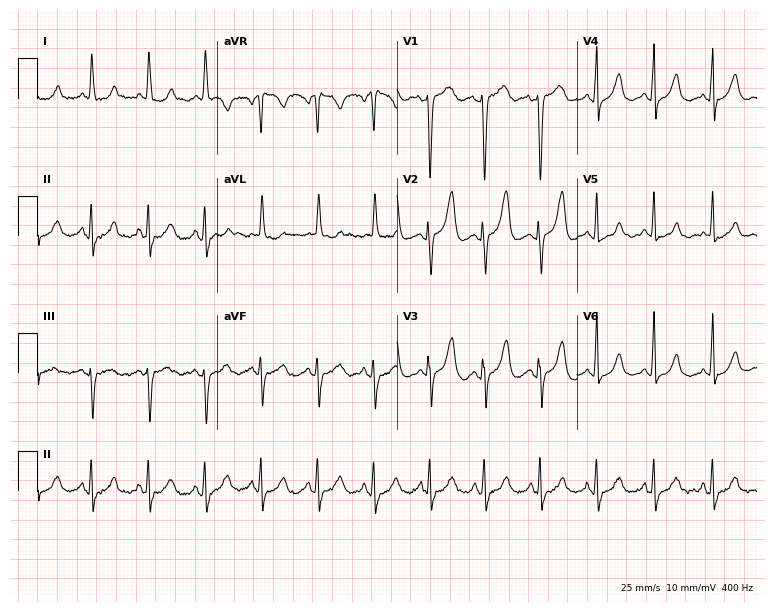
Standard 12-lead ECG recorded from a female, 79 years old (7.3-second recording at 400 Hz). The tracing shows sinus tachycardia (a sinus rate of 100 beats per minute or more).